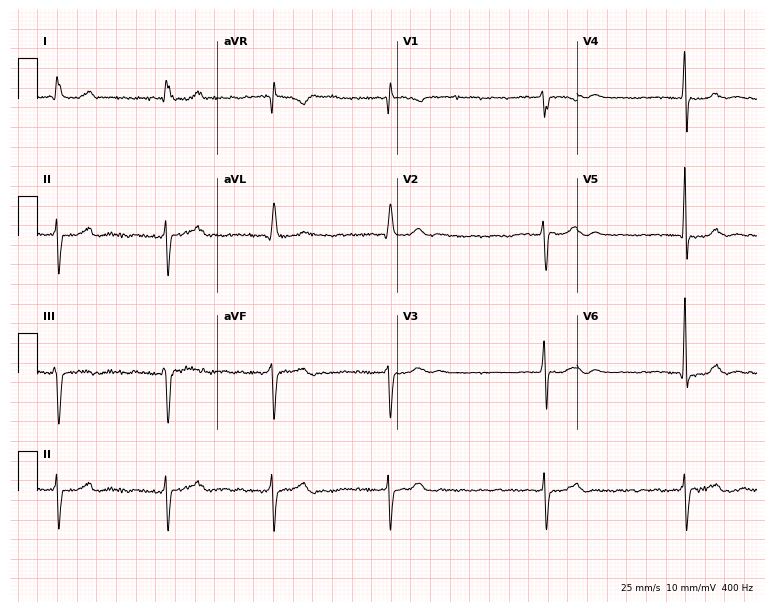
Standard 12-lead ECG recorded from a 71-year-old male. The tracing shows atrial fibrillation.